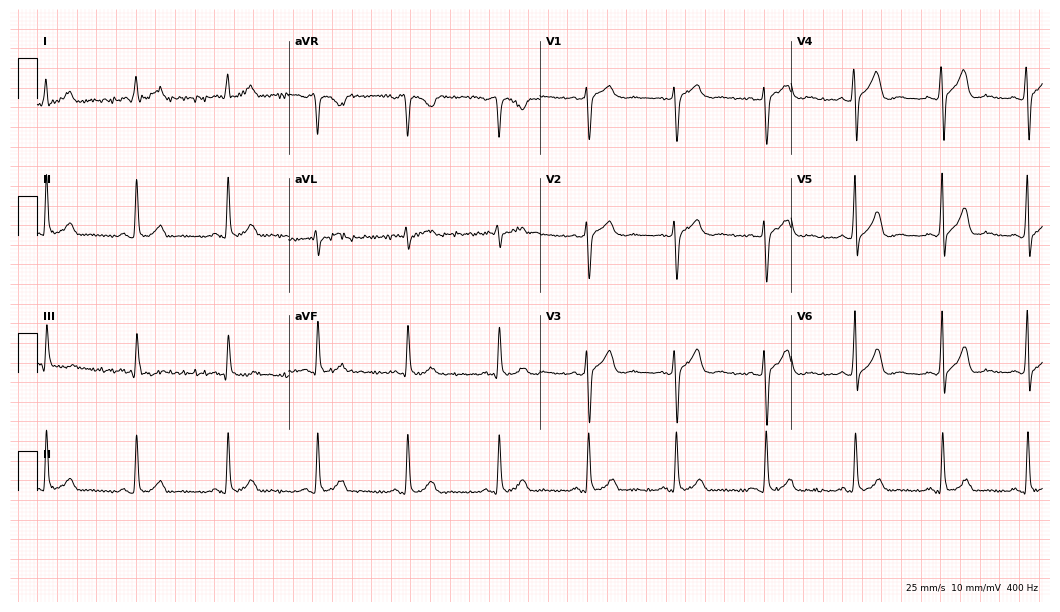
ECG — a man, 43 years old. Screened for six findings — first-degree AV block, right bundle branch block, left bundle branch block, sinus bradycardia, atrial fibrillation, sinus tachycardia — none is recorded.